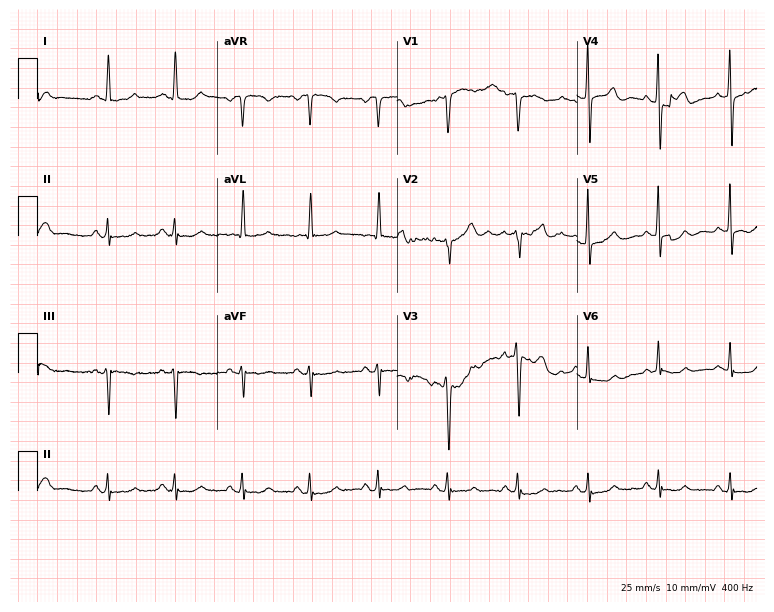
Standard 12-lead ECG recorded from a man, 79 years old (7.3-second recording at 400 Hz). None of these six findings is recorded: first-degree AV block, right bundle branch block, left bundle branch block, sinus bradycardia, atrial fibrillation, sinus tachycardia.